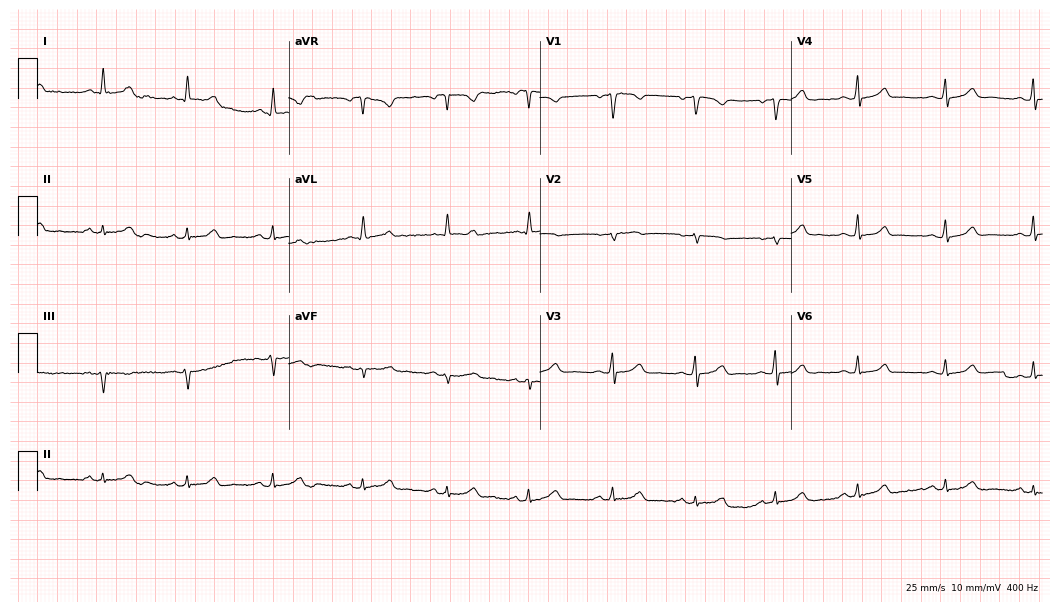
12-lead ECG from a female patient, 34 years old. Screened for six findings — first-degree AV block, right bundle branch block (RBBB), left bundle branch block (LBBB), sinus bradycardia, atrial fibrillation (AF), sinus tachycardia — none is recorded.